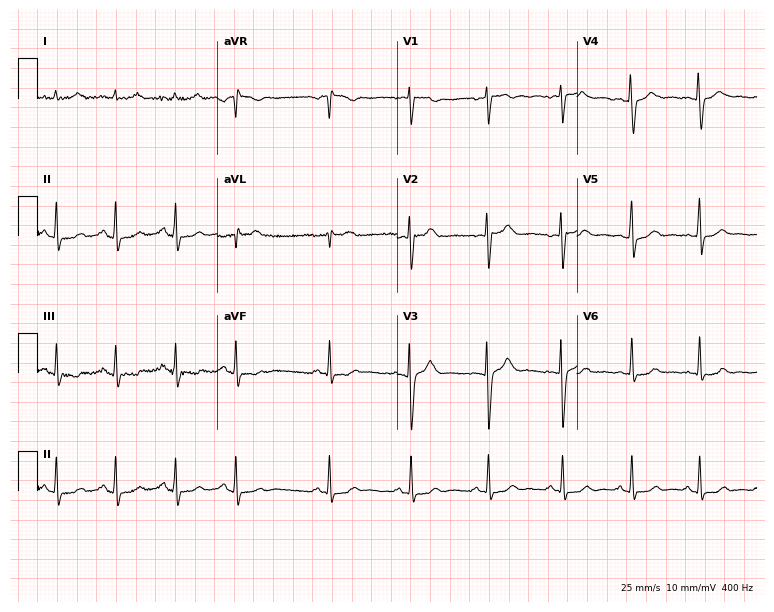
ECG (7.3-second recording at 400 Hz) — a female patient, 43 years old. Screened for six findings — first-degree AV block, right bundle branch block (RBBB), left bundle branch block (LBBB), sinus bradycardia, atrial fibrillation (AF), sinus tachycardia — none is recorded. Other findings, if any, are not listed.